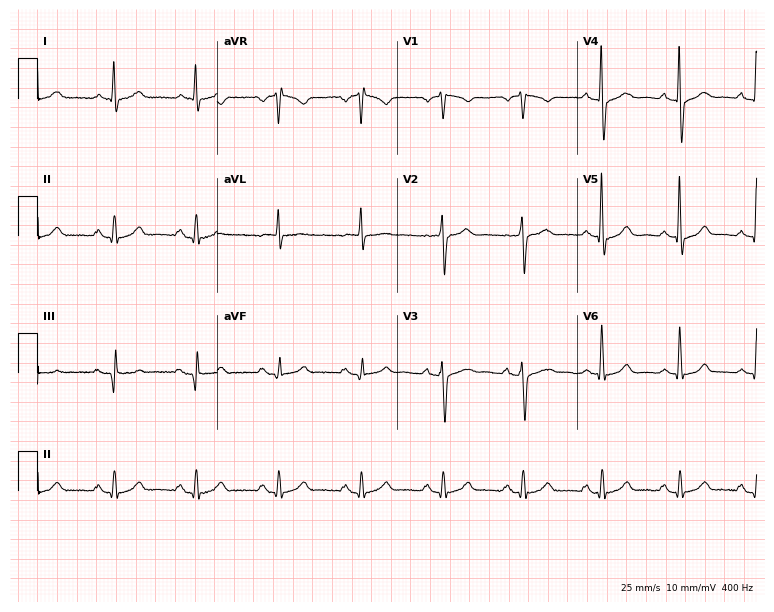
Standard 12-lead ECG recorded from a 56-year-old man. Read as a normal ECG.